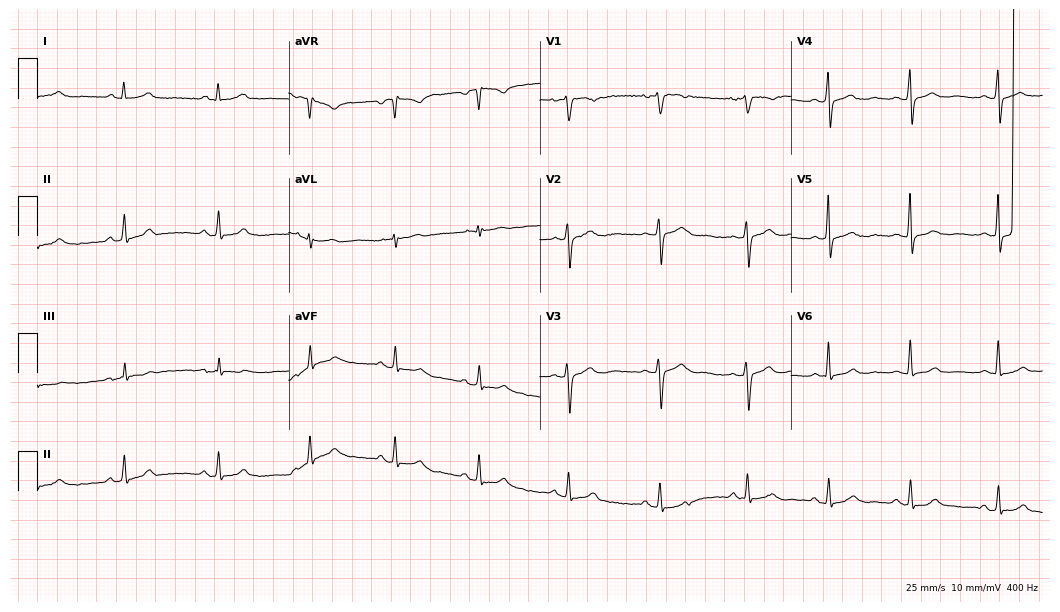
12-lead ECG from a woman, 45 years old. Labelled as a normal ECG.